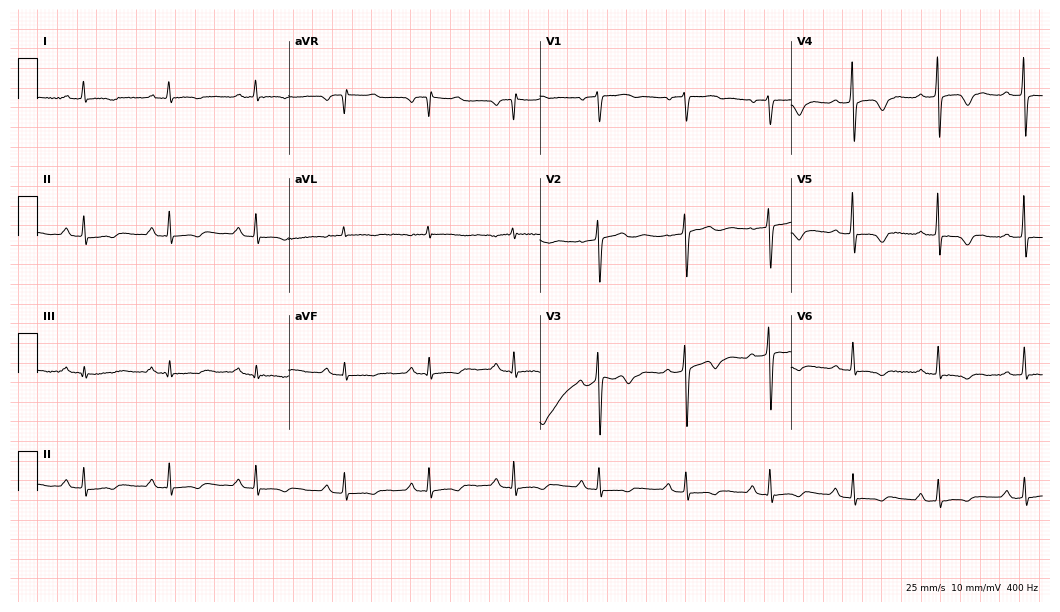
Electrocardiogram (10.2-second recording at 400 Hz), a woman, 69 years old. Of the six screened findings (first-degree AV block, right bundle branch block (RBBB), left bundle branch block (LBBB), sinus bradycardia, atrial fibrillation (AF), sinus tachycardia), none is recorded. Only these six findings were labelled.